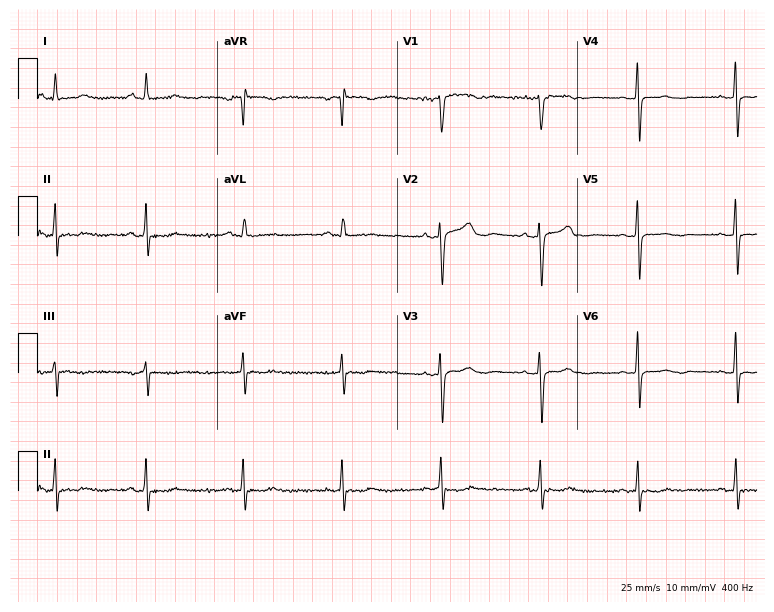
Resting 12-lead electrocardiogram. Patient: a 51-year-old female. None of these six findings is recorded: first-degree AV block, right bundle branch block, left bundle branch block, sinus bradycardia, atrial fibrillation, sinus tachycardia. Only these six findings were labelled.